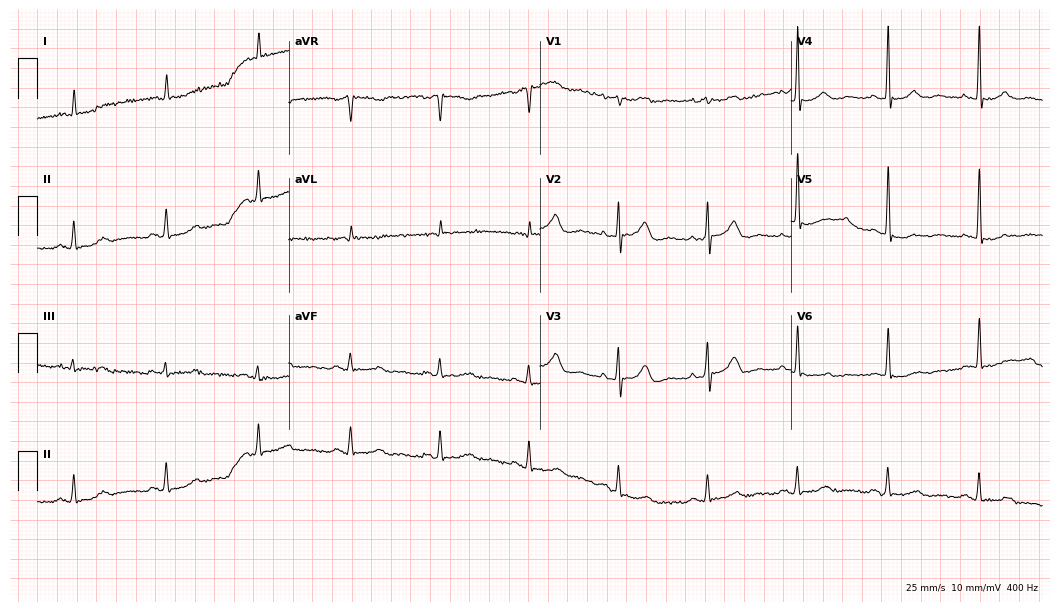
Electrocardiogram (10.2-second recording at 400 Hz), an 82-year-old man. Of the six screened findings (first-degree AV block, right bundle branch block (RBBB), left bundle branch block (LBBB), sinus bradycardia, atrial fibrillation (AF), sinus tachycardia), none is recorded. Only these six findings were labelled.